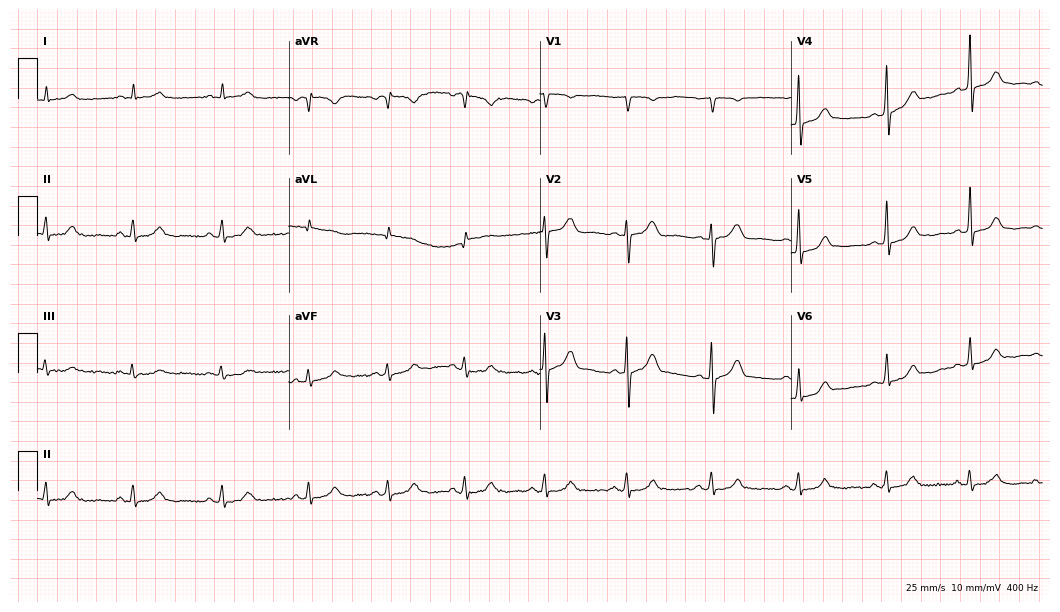
12-lead ECG (10.2-second recording at 400 Hz) from a female patient, 54 years old. Labelled as a normal ECG.